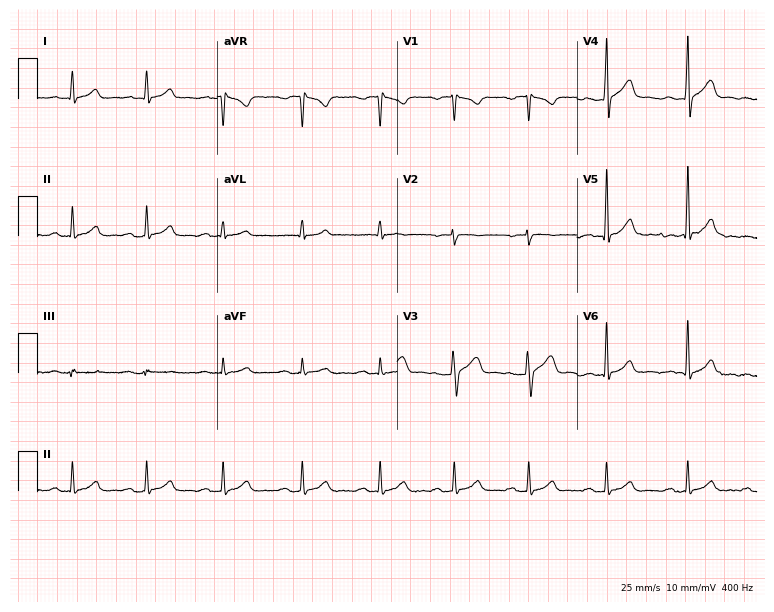
Electrocardiogram, a 46-year-old man. Interpretation includes first-degree AV block.